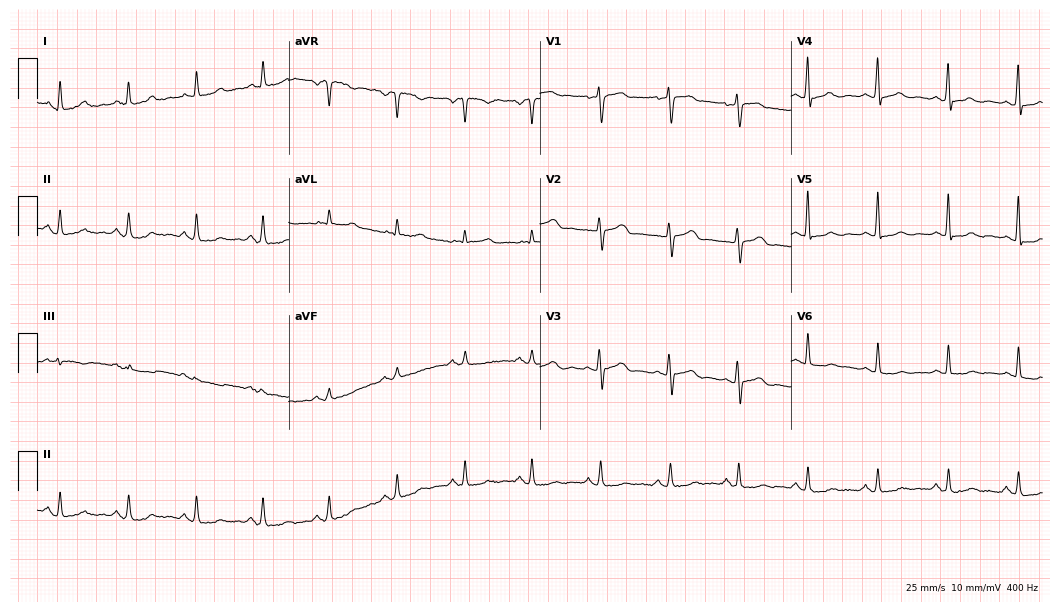
Electrocardiogram, a 63-year-old female patient. Overall reading on record: normal ECG.